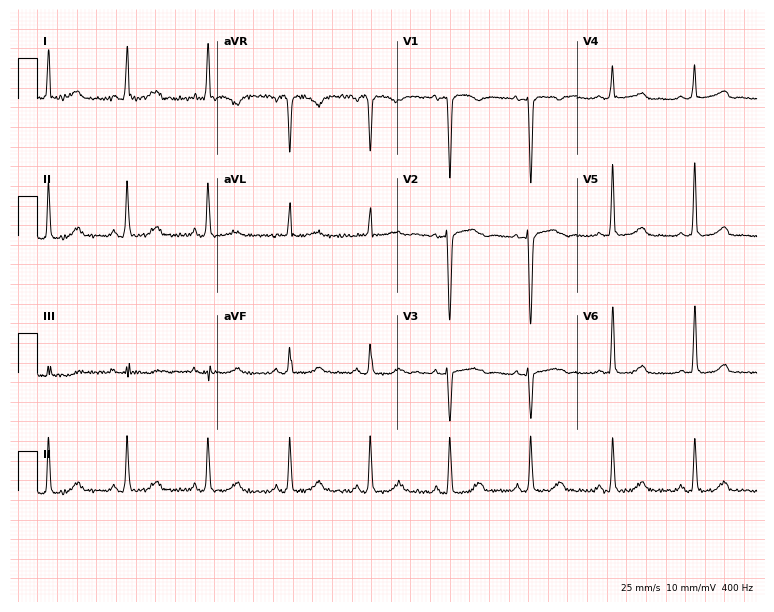
Resting 12-lead electrocardiogram (7.3-second recording at 400 Hz). Patient: a female, 56 years old. None of these six findings is recorded: first-degree AV block, right bundle branch block, left bundle branch block, sinus bradycardia, atrial fibrillation, sinus tachycardia.